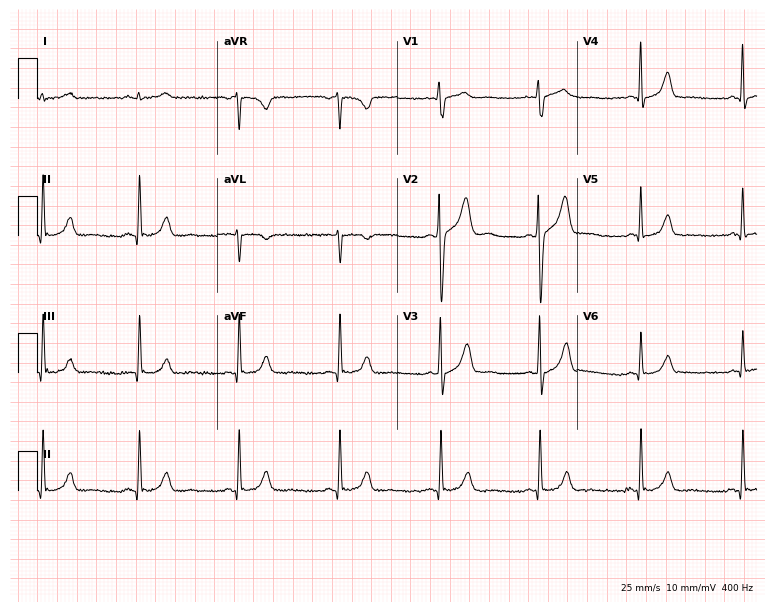
Standard 12-lead ECG recorded from a female patient, 39 years old (7.3-second recording at 400 Hz). None of these six findings is recorded: first-degree AV block, right bundle branch block (RBBB), left bundle branch block (LBBB), sinus bradycardia, atrial fibrillation (AF), sinus tachycardia.